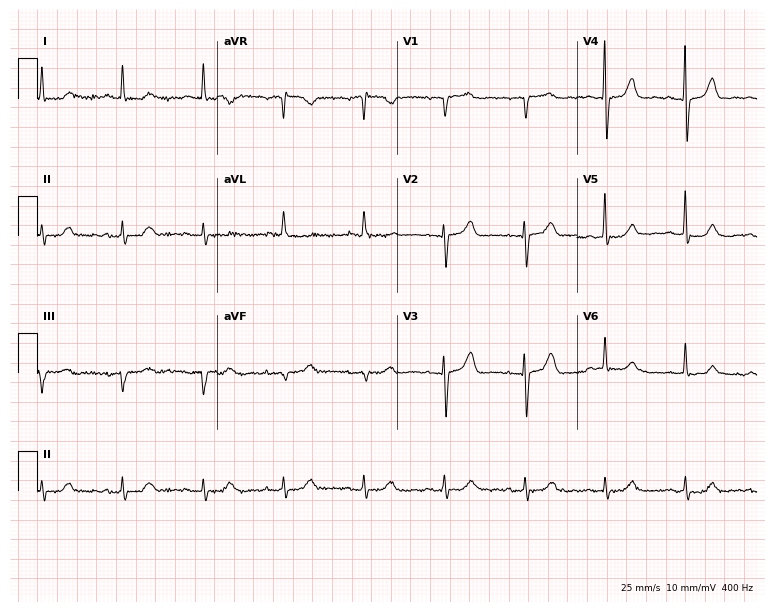
12-lead ECG from an 85-year-old female. No first-degree AV block, right bundle branch block, left bundle branch block, sinus bradycardia, atrial fibrillation or sinus tachycardia recorded for this tracing. Other findings, if any, are not listed.